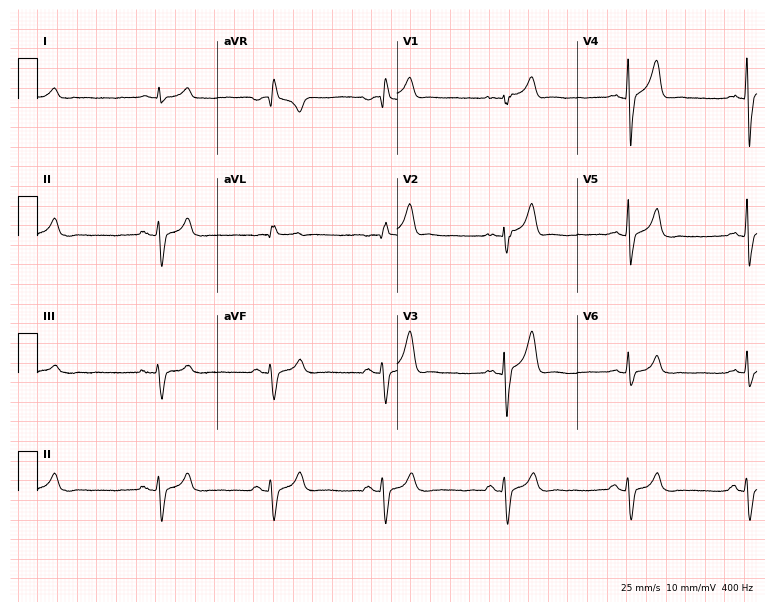
Electrocardiogram, a male, 32 years old. Interpretation includes sinus bradycardia (a sinus rate of 50 beats per minute or less).